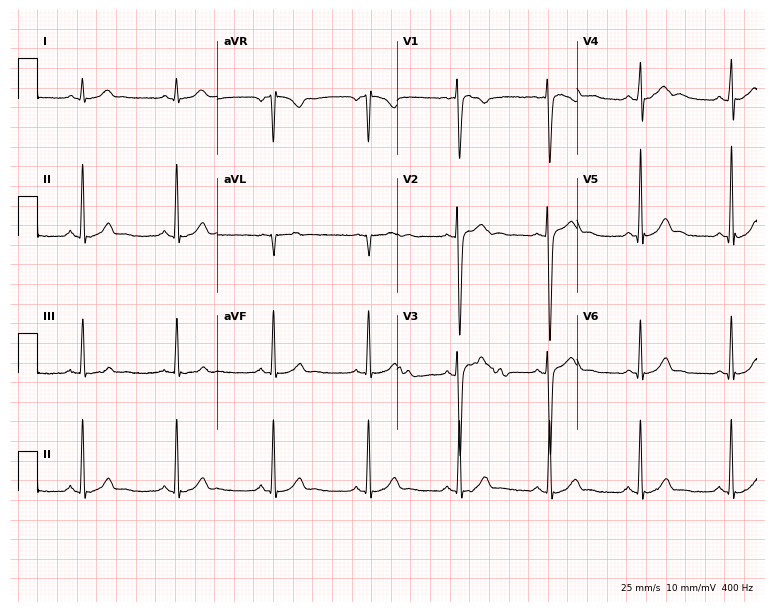
12-lead ECG from a male patient, 35 years old. Labelled as a normal ECG.